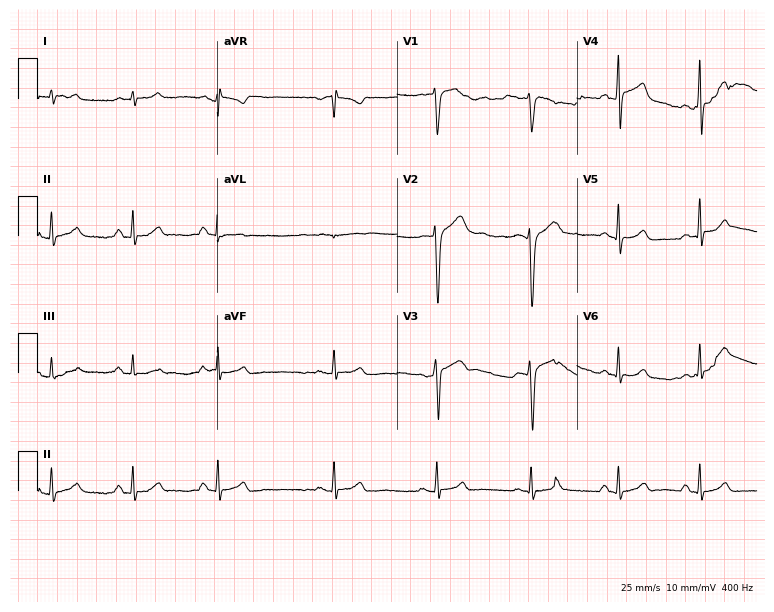
Resting 12-lead electrocardiogram. Patient: a 38-year-old man. Read as a normal ECG.